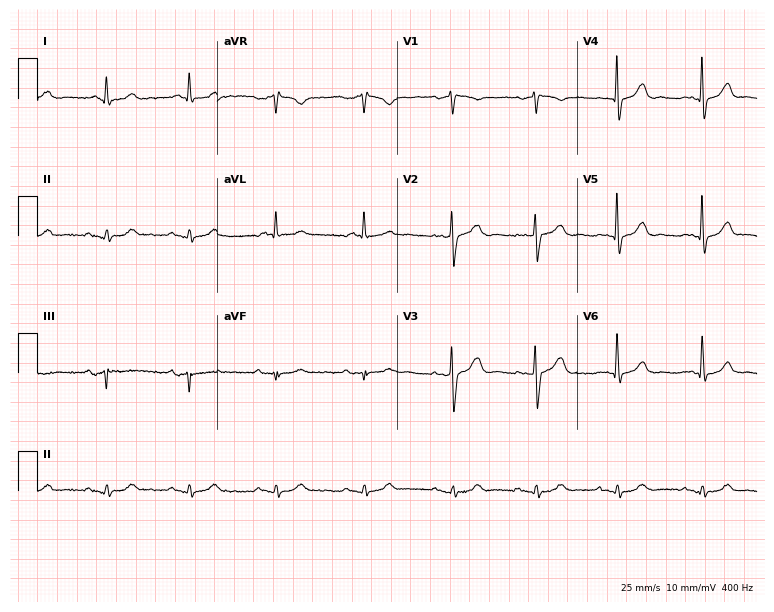
12-lead ECG from a male, 78 years old (7.3-second recording at 400 Hz). Recorded interpretation: within normal limits.